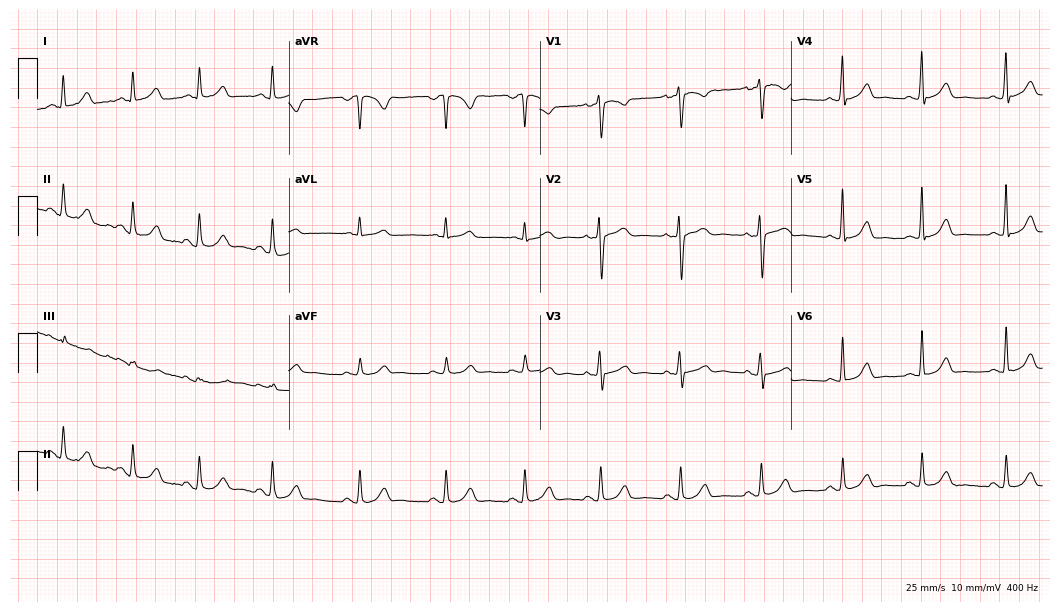
Standard 12-lead ECG recorded from a 25-year-old female (10.2-second recording at 400 Hz). Read as a normal ECG.